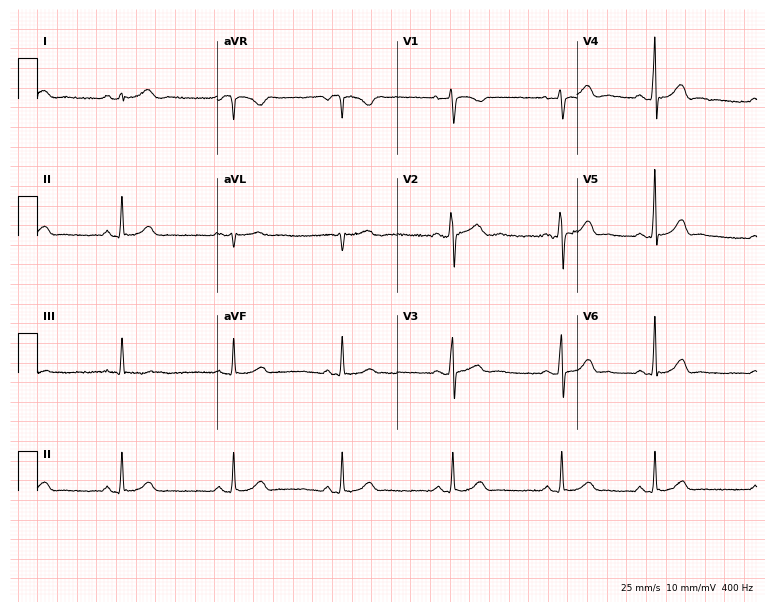
12-lead ECG from a 27-year-old female (7.3-second recording at 400 Hz). No first-degree AV block, right bundle branch block, left bundle branch block, sinus bradycardia, atrial fibrillation or sinus tachycardia recorded for this tracing. Only these six findings were labelled.